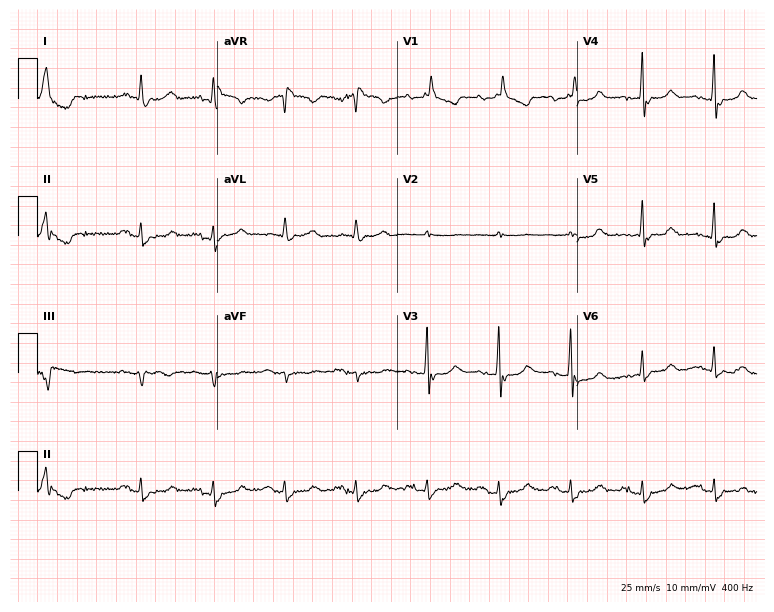
Standard 12-lead ECG recorded from a 73-year-old woman. The tracing shows right bundle branch block (RBBB).